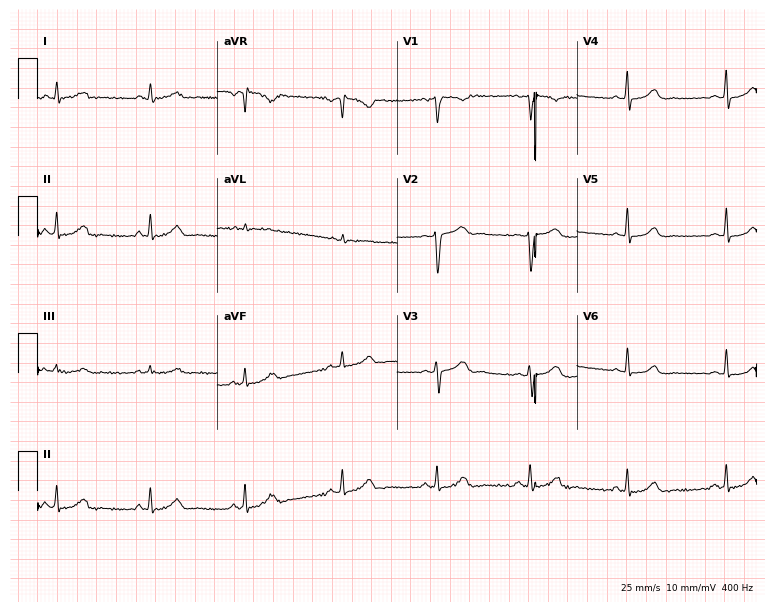
ECG — a female patient, 30 years old. Screened for six findings — first-degree AV block, right bundle branch block, left bundle branch block, sinus bradycardia, atrial fibrillation, sinus tachycardia — none is recorded.